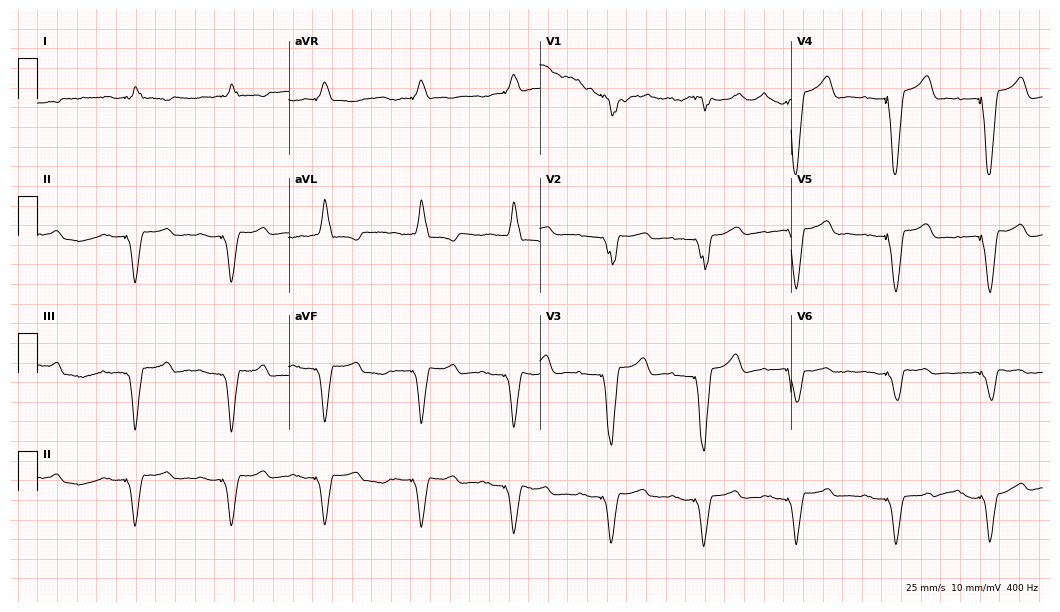
Resting 12-lead electrocardiogram. Patient: an 83-year-old female. None of these six findings is recorded: first-degree AV block, right bundle branch block, left bundle branch block, sinus bradycardia, atrial fibrillation, sinus tachycardia. Other findings, if any, are not listed.